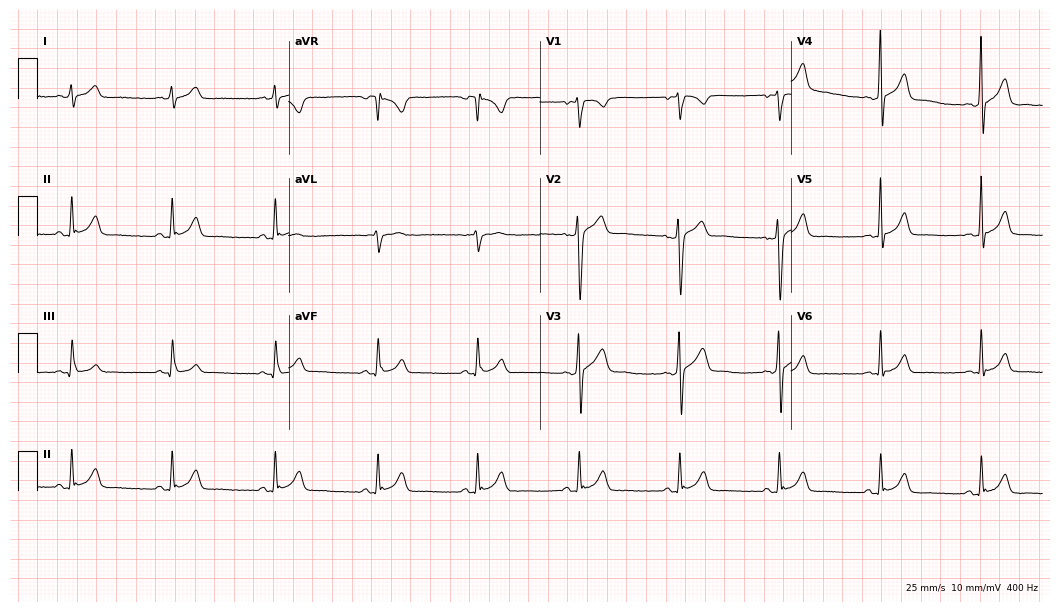
Electrocardiogram (10.2-second recording at 400 Hz), a 30-year-old man. Overall reading on record: normal ECG.